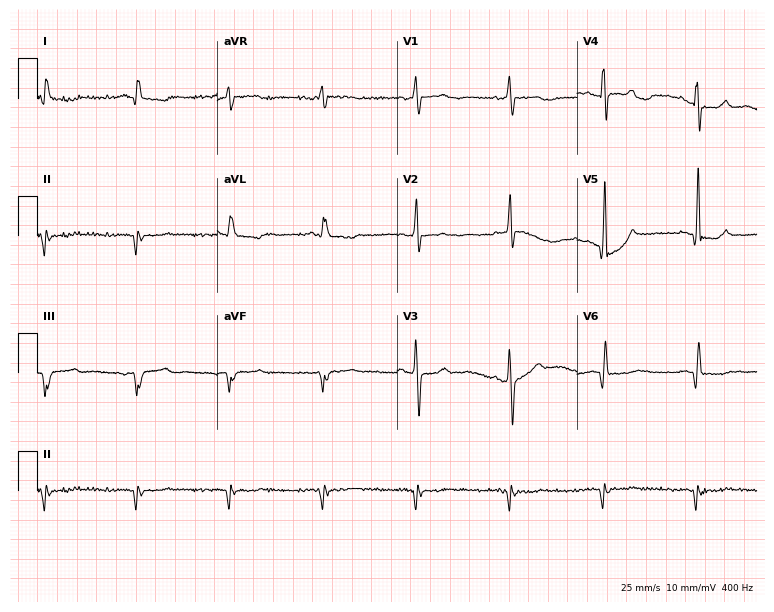
Electrocardiogram, a man, 77 years old. Of the six screened findings (first-degree AV block, right bundle branch block, left bundle branch block, sinus bradycardia, atrial fibrillation, sinus tachycardia), none is recorded.